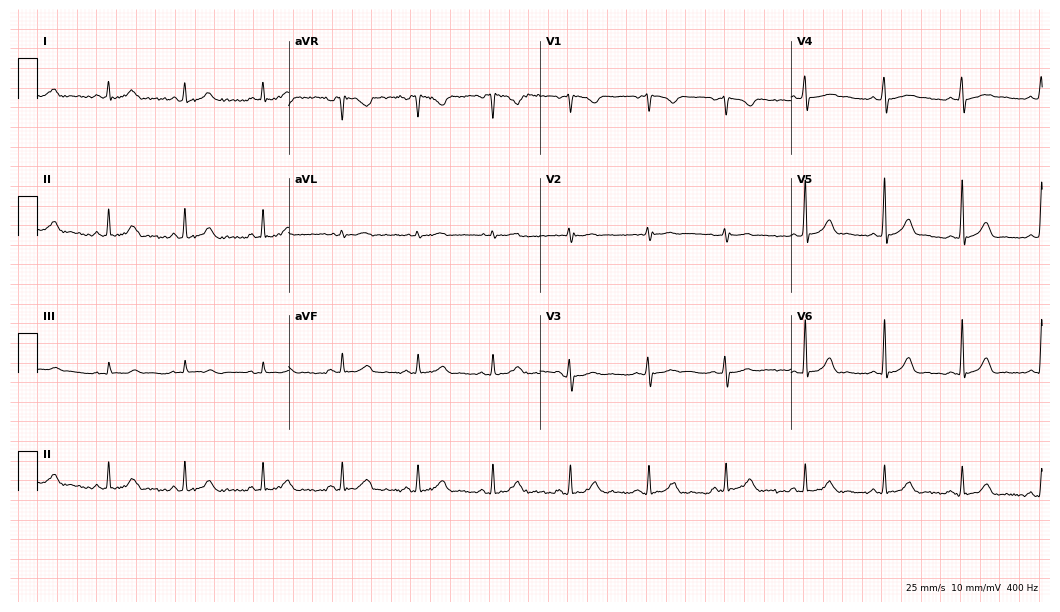
Resting 12-lead electrocardiogram. Patient: a 25-year-old female. Read as a normal ECG.